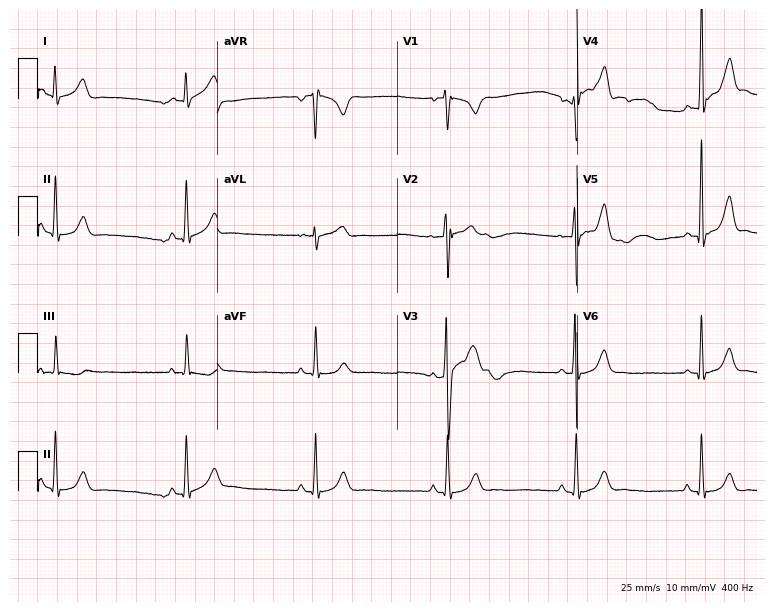
Standard 12-lead ECG recorded from a 23-year-old man. None of these six findings is recorded: first-degree AV block, right bundle branch block (RBBB), left bundle branch block (LBBB), sinus bradycardia, atrial fibrillation (AF), sinus tachycardia.